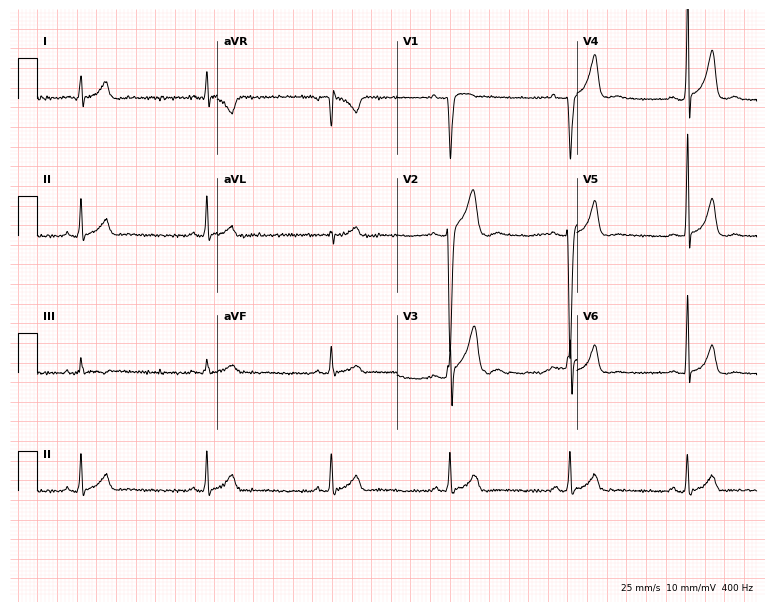
Standard 12-lead ECG recorded from a man, 22 years old. The tracing shows sinus bradycardia (a sinus rate of 50 beats per minute or less).